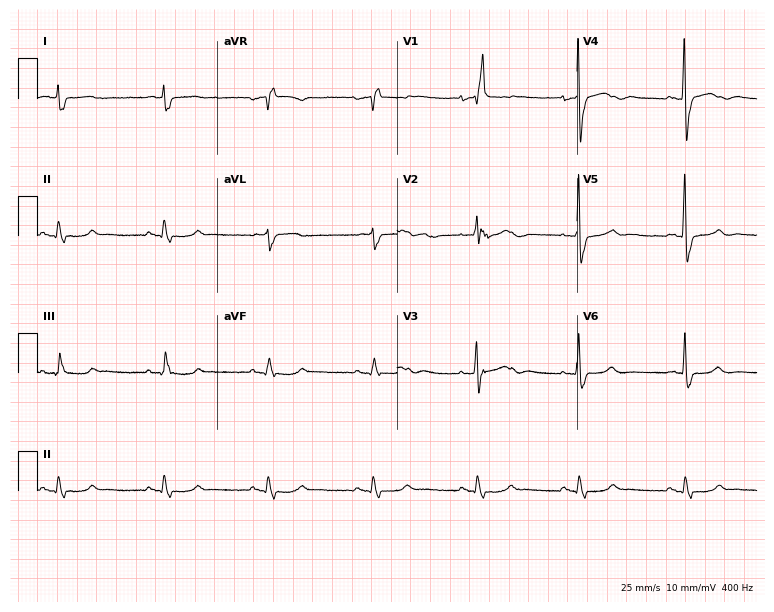
Electrocardiogram (7.3-second recording at 400 Hz), a 78-year-old female. Interpretation includes right bundle branch block.